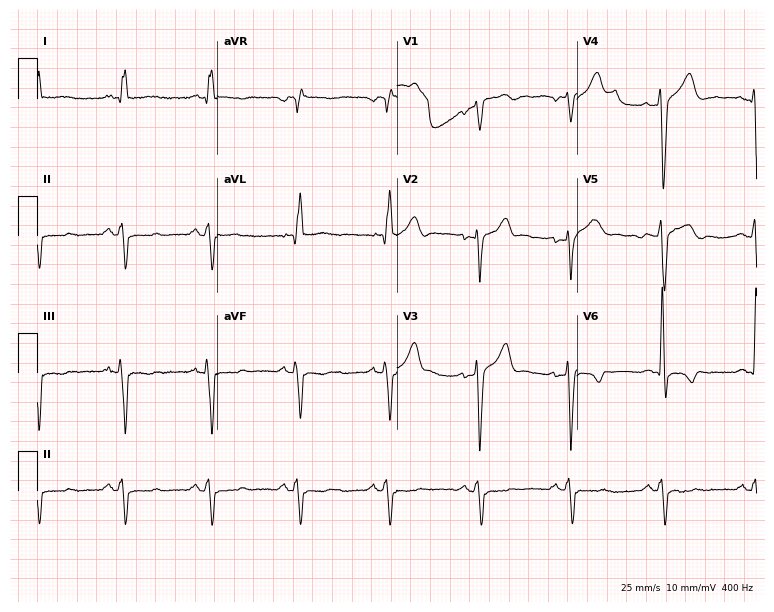
ECG (7.3-second recording at 400 Hz) — a 49-year-old man. Screened for six findings — first-degree AV block, right bundle branch block, left bundle branch block, sinus bradycardia, atrial fibrillation, sinus tachycardia — none is recorded. Only these six findings were labelled.